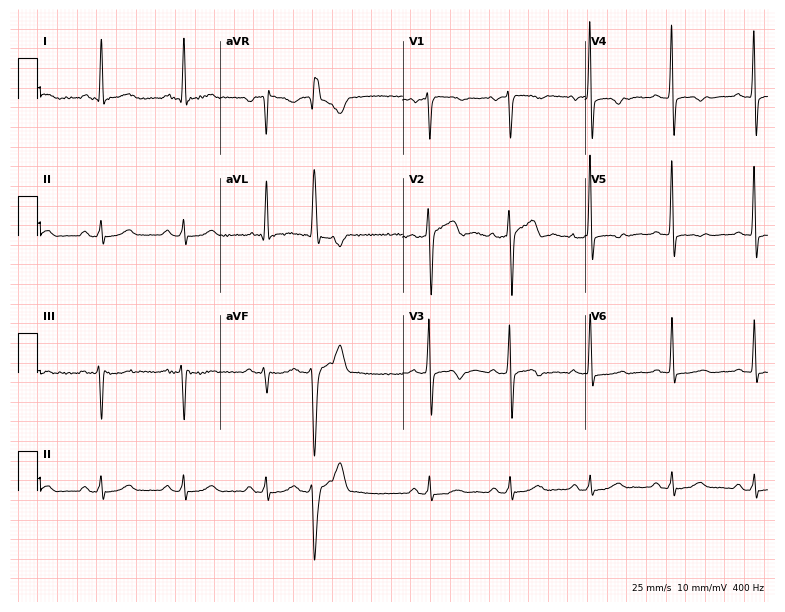
Electrocardiogram, a 62-year-old male patient. Overall reading on record: normal ECG.